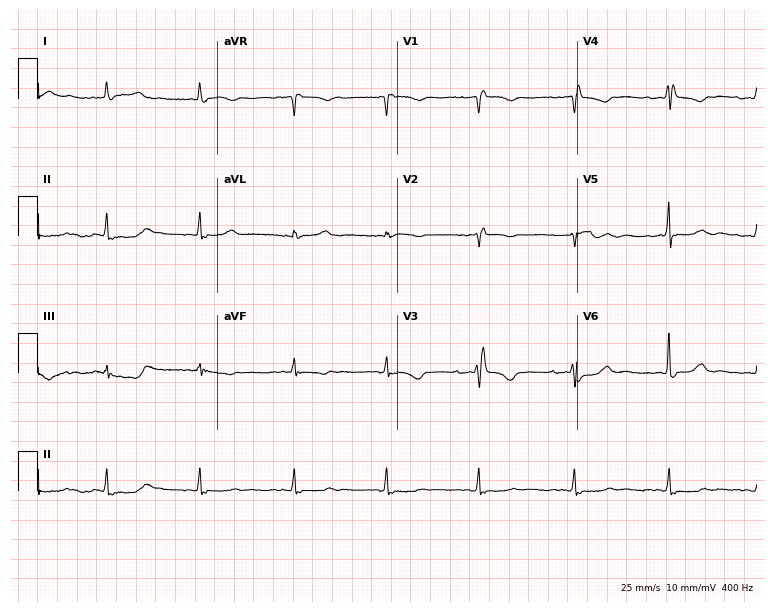
Resting 12-lead electrocardiogram (7.3-second recording at 400 Hz). Patient: a female, 64 years old. The tracing shows right bundle branch block.